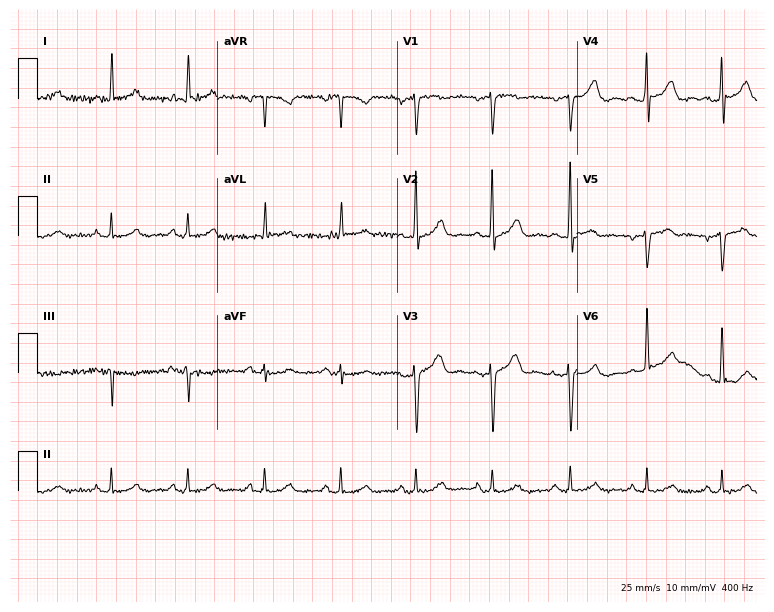
12-lead ECG (7.3-second recording at 400 Hz) from a male patient, 65 years old. Labelled as a normal ECG.